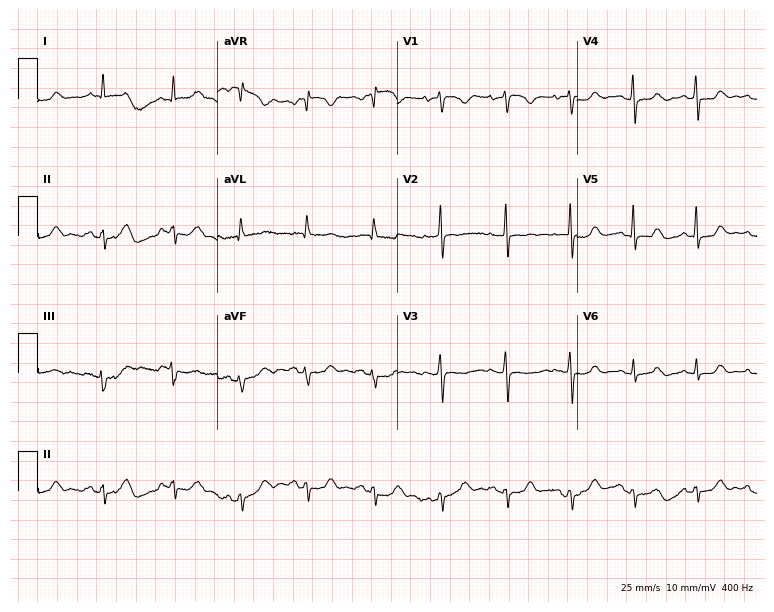
ECG (7.3-second recording at 400 Hz) — a 49-year-old woman. Screened for six findings — first-degree AV block, right bundle branch block, left bundle branch block, sinus bradycardia, atrial fibrillation, sinus tachycardia — none is recorded.